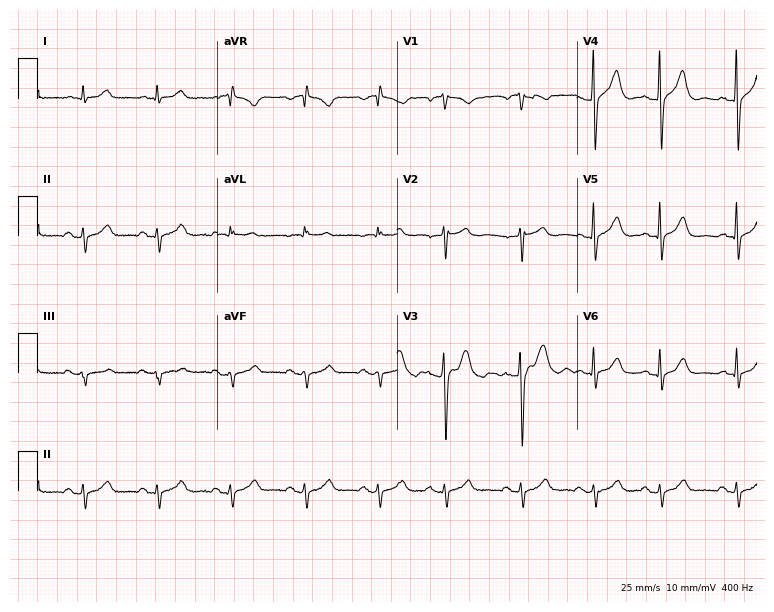
12-lead ECG from a 55-year-old male patient. Labelled as a normal ECG.